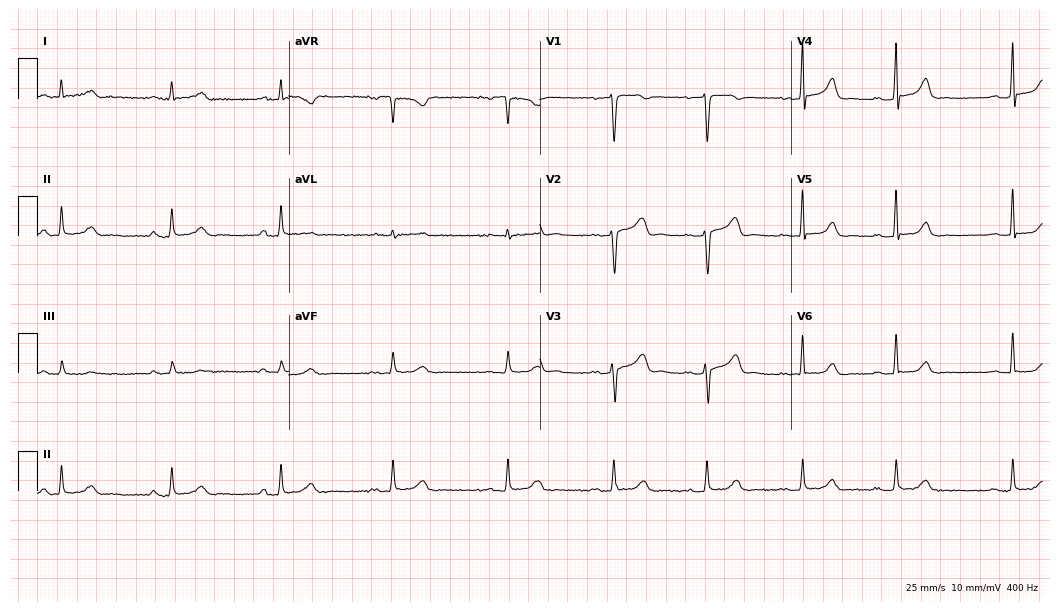
Standard 12-lead ECG recorded from a 45-year-old female patient (10.2-second recording at 400 Hz). Read as a normal ECG.